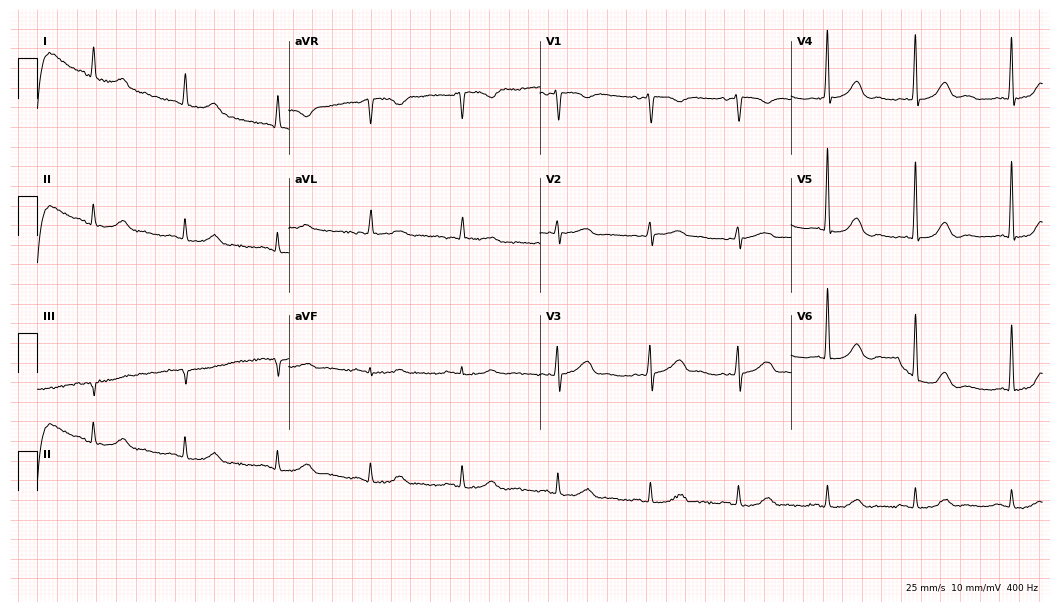
Resting 12-lead electrocardiogram (10.2-second recording at 400 Hz). Patient: a 62-year-old female. None of these six findings is recorded: first-degree AV block, right bundle branch block, left bundle branch block, sinus bradycardia, atrial fibrillation, sinus tachycardia. Only these six findings were labelled.